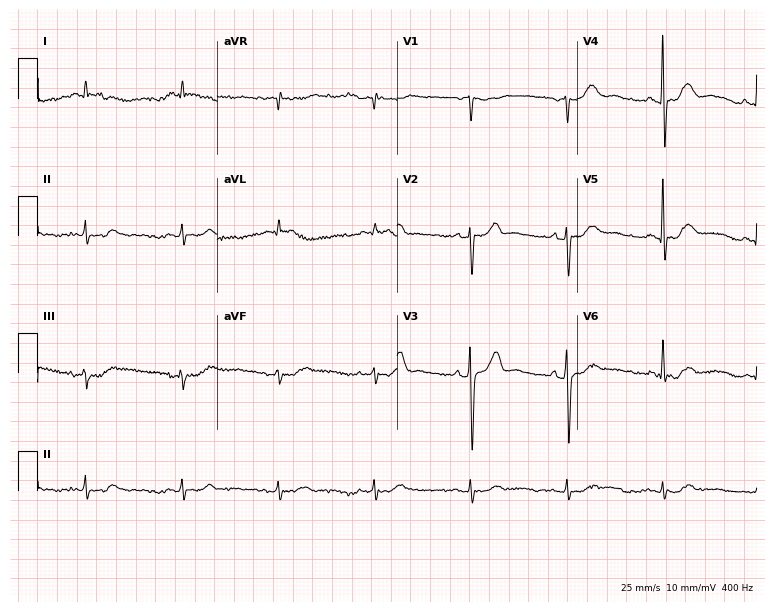
Standard 12-lead ECG recorded from a 68-year-old male patient (7.3-second recording at 400 Hz). None of these six findings is recorded: first-degree AV block, right bundle branch block, left bundle branch block, sinus bradycardia, atrial fibrillation, sinus tachycardia.